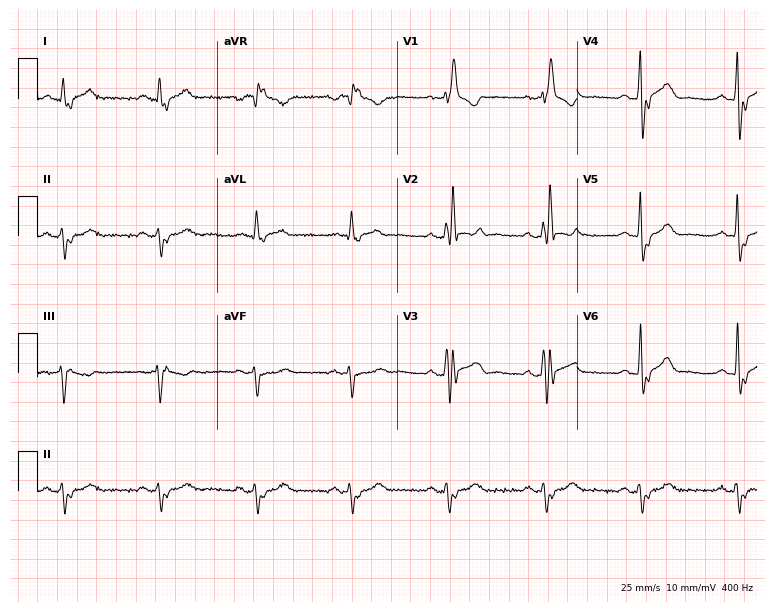
Standard 12-lead ECG recorded from an 81-year-old male patient (7.3-second recording at 400 Hz). The tracing shows right bundle branch block (RBBB).